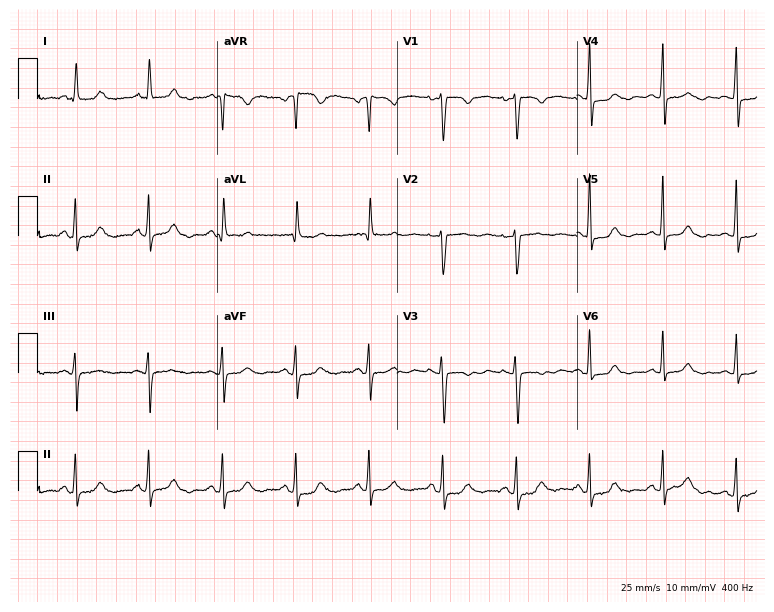
12-lead ECG from a 70-year-old woman. Labelled as a normal ECG.